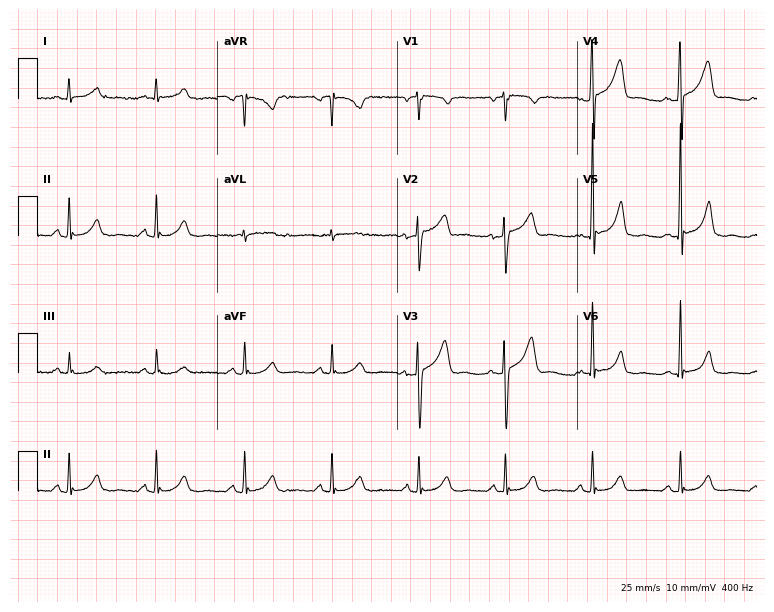
Electrocardiogram (7.3-second recording at 400 Hz), a 51-year-old male patient. Overall reading on record: normal ECG.